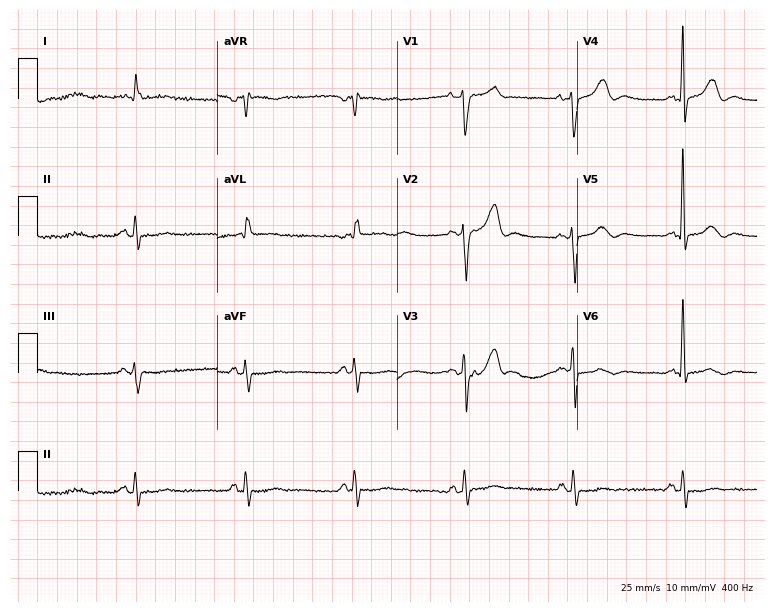
Electrocardiogram, an 85-year-old male patient. Of the six screened findings (first-degree AV block, right bundle branch block (RBBB), left bundle branch block (LBBB), sinus bradycardia, atrial fibrillation (AF), sinus tachycardia), none is recorded.